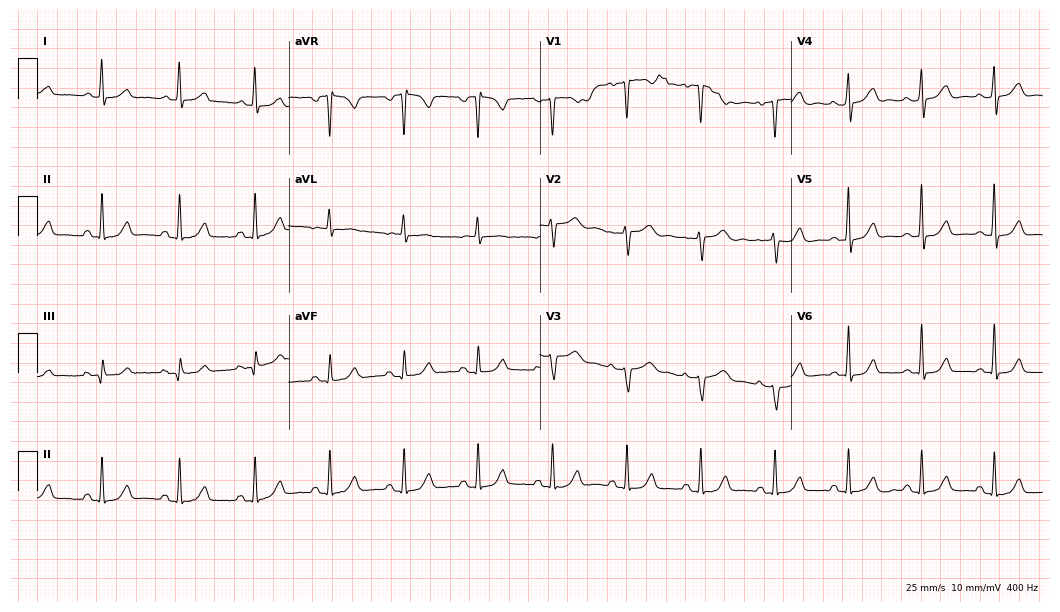
12-lead ECG (10.2-second recording at 400 Hz) from a 47-year-old woman. Labelled as a normal ECG.